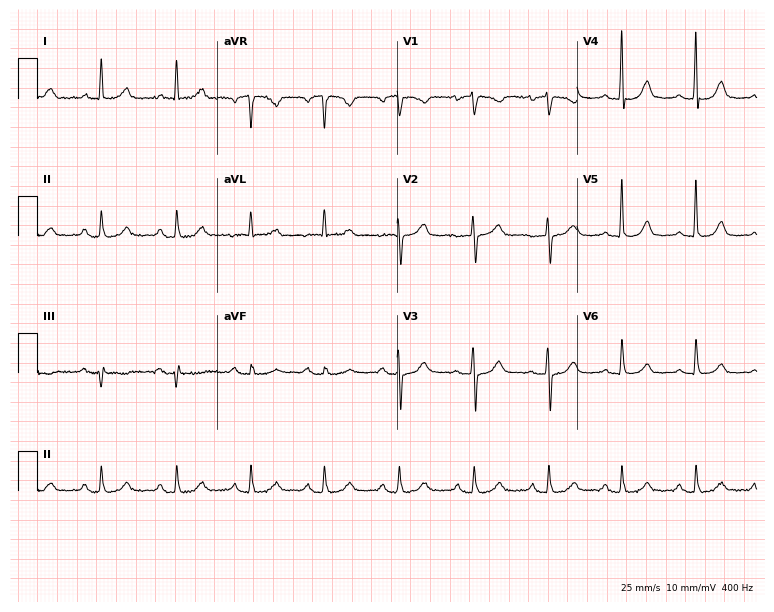
ECG — a 64-year-old female patient. Labelled as a normal ECG.